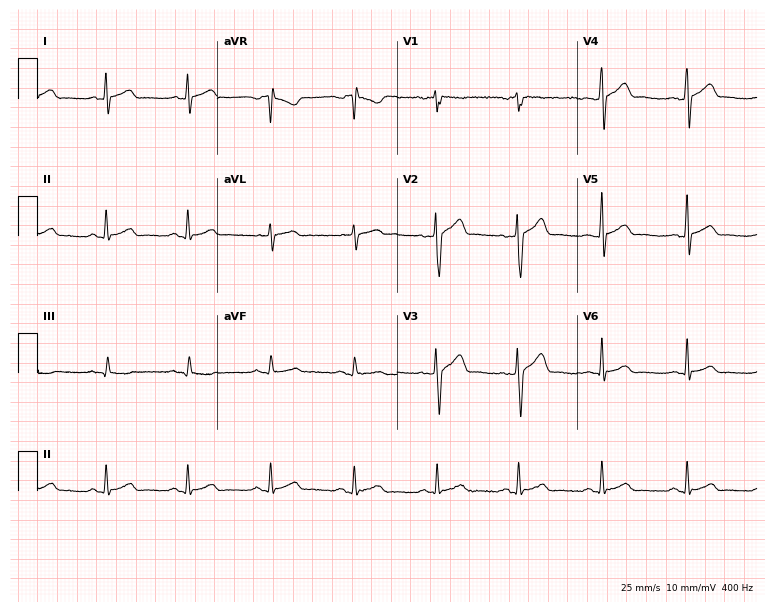
ECG (7.3-second recording at 400 Hz) — a 41-year-old male. Labelled as a normal ECG.